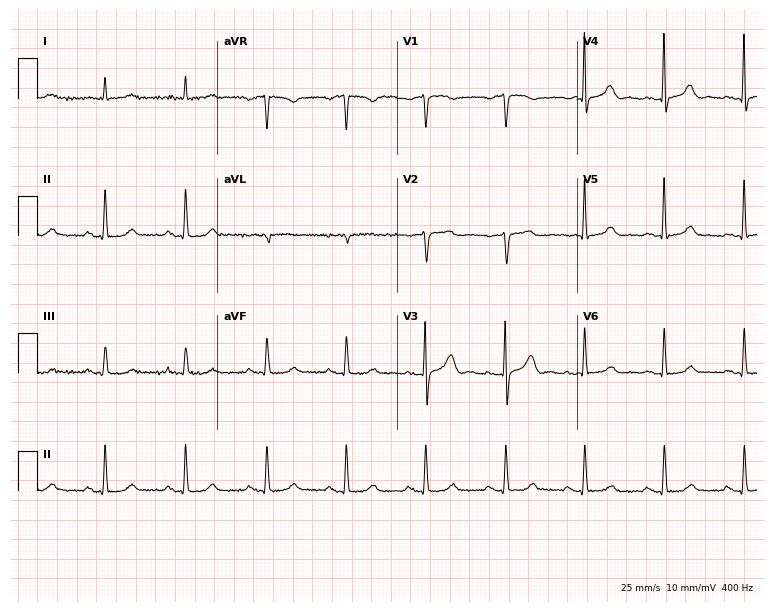
ECG — a female, 81 years old. Labelled as a normal ECG.